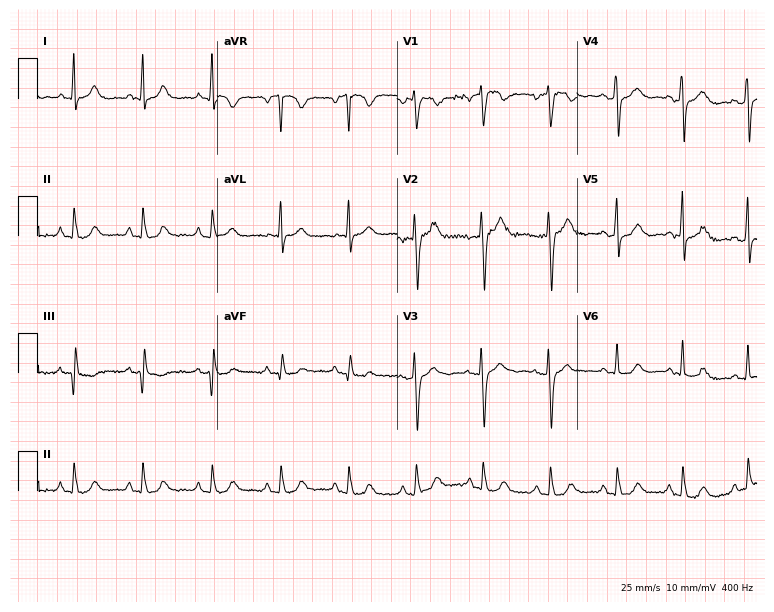
12-lead ECG from a 59-year-old female patient. Screened for six findings — first-degree AV block, right bundle branch block (RBBB), left bundle branch block (LBBB), sinus bradycardia, atrial fibrillation (AF), sinus tachycardia — none is recorded.